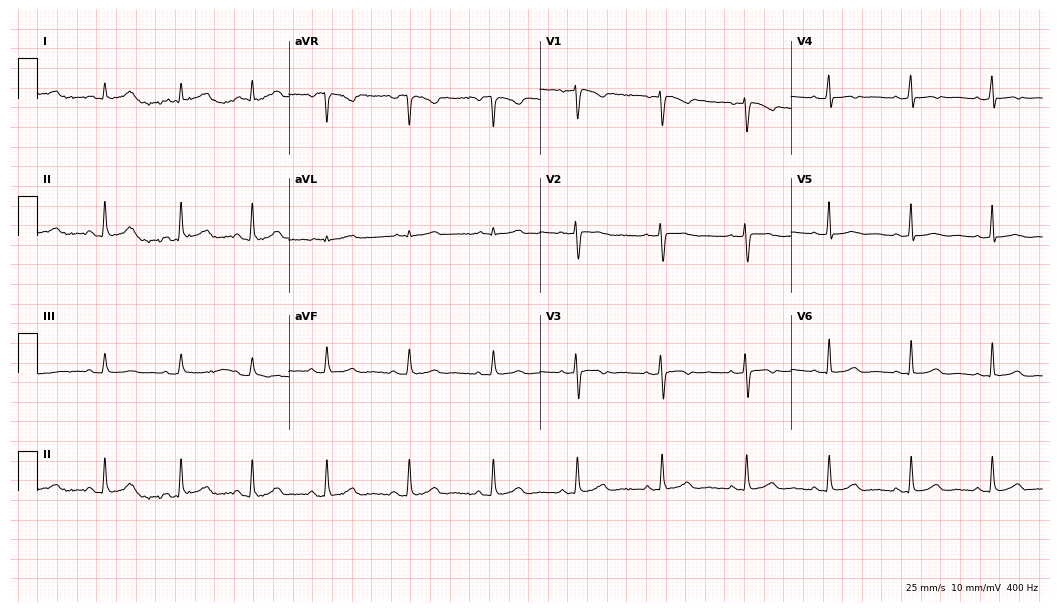
Resting 12-lead electrocardiogram. Patient: a female, 35 years old. Read as a normal ECG.